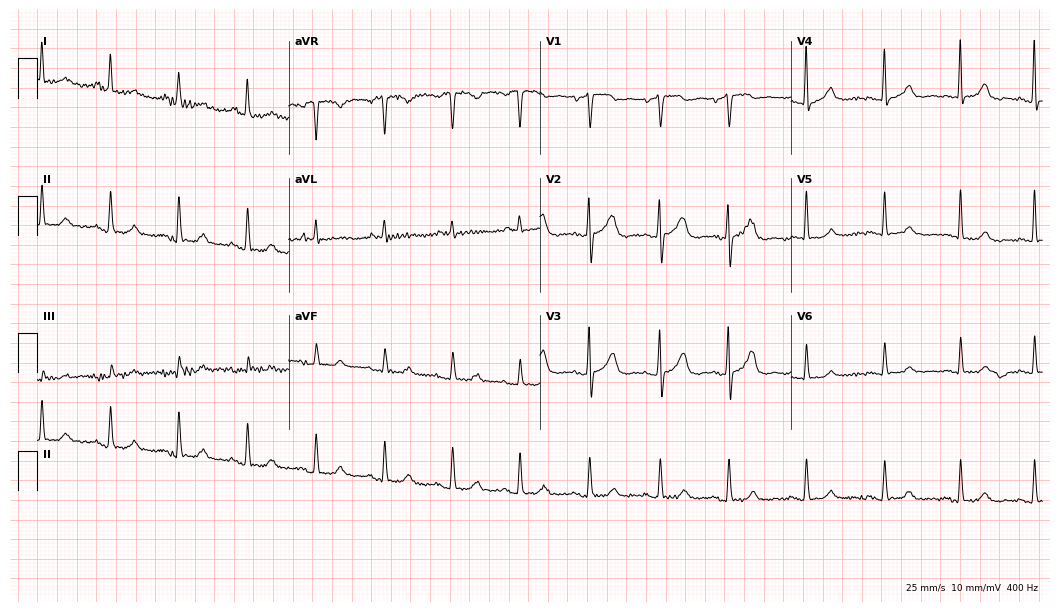
12-lead ECG (10.2-second recording at 400 Hz) from a female patient, 74 years old. Labelled as a normal ECG.